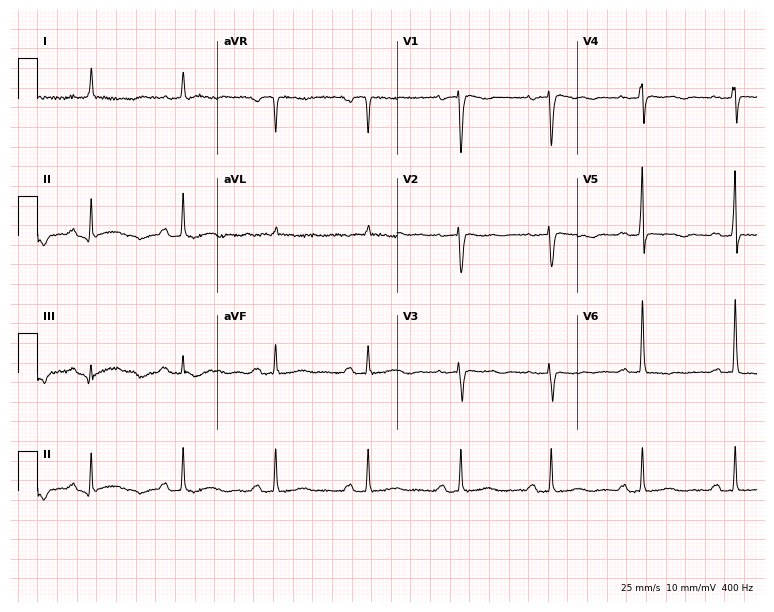
Electrocardiogram (7.3-second recording at 400 Hz), a 78-year-old female patient. Interpretation includes first-degree AV block.